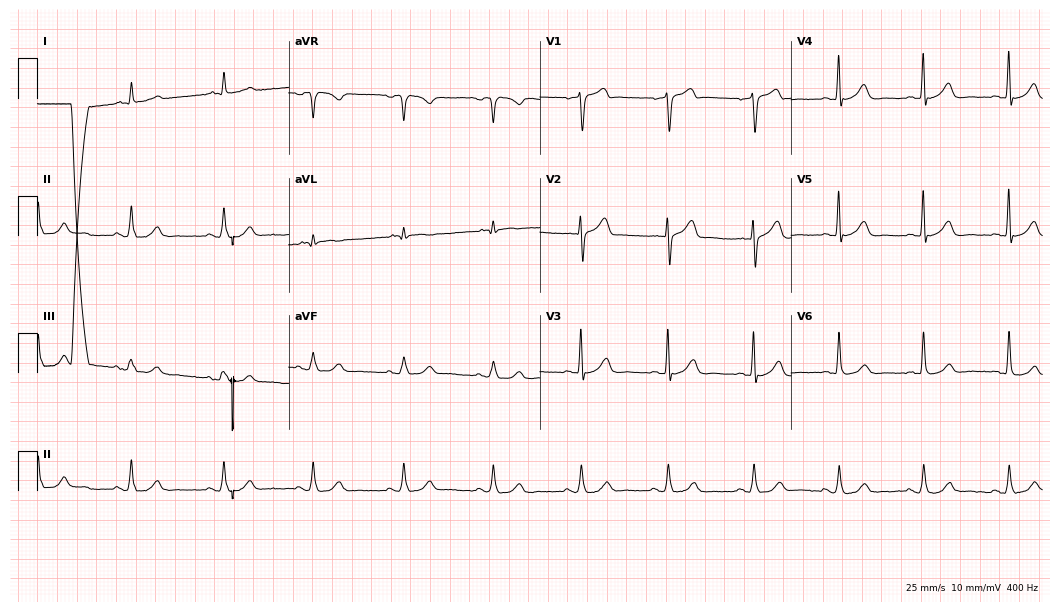
12-lead ECG from a man, 70 years old. Labelled as a normal ECG.